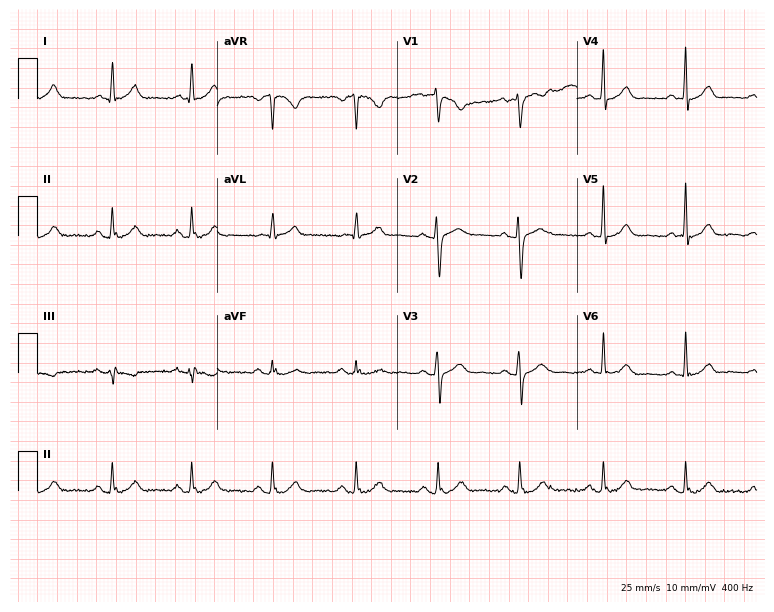
12-lead ECG from a 41-year-old male (7.3-second recording at 400 Hz). Recorded interpretation: within normal limits.